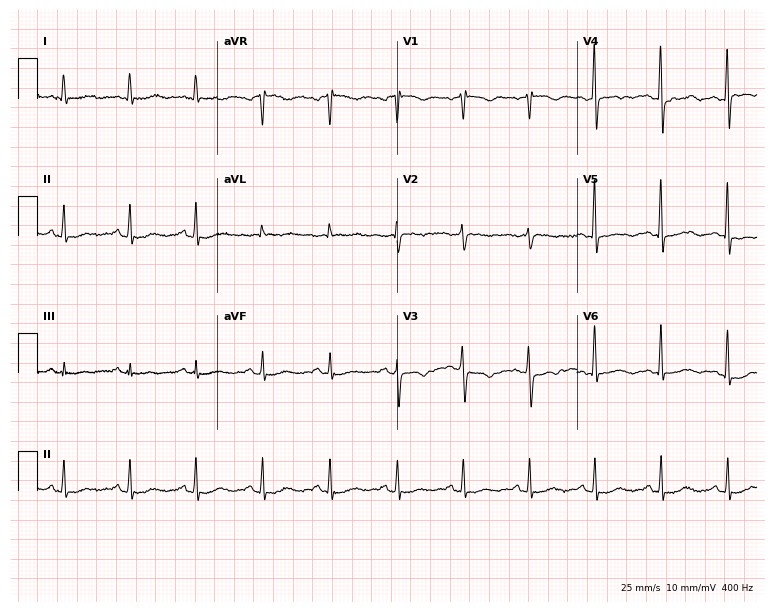
12-lead ECG (7.3-second recording at 400 Hz) from a 62-year-old woman. Screened for six findings — first-degree AV block, right bundle branch block, left bundle branch block, sinus bradycardia, atrial fibrillation, sinus tachycardia — none is recorded.